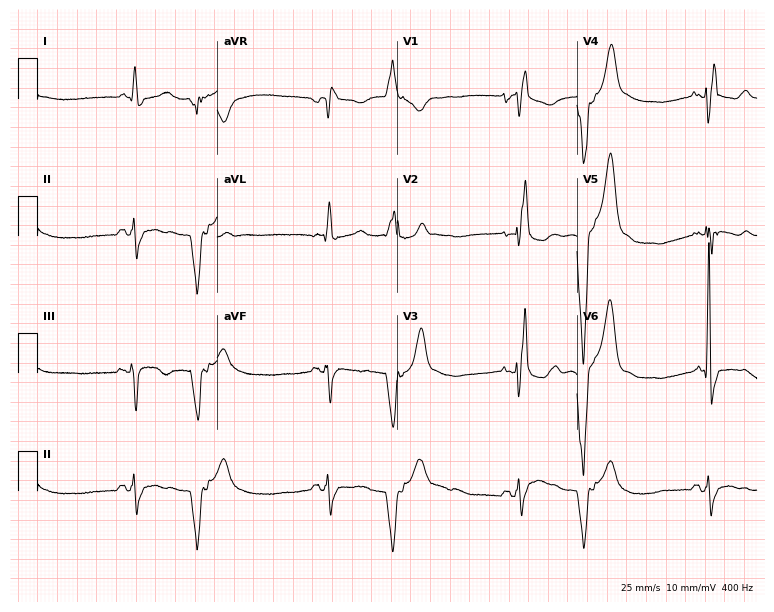
Standard 12-lead ECG recorded from a 71-year-old woman. The tracing shows right bundle branch block.